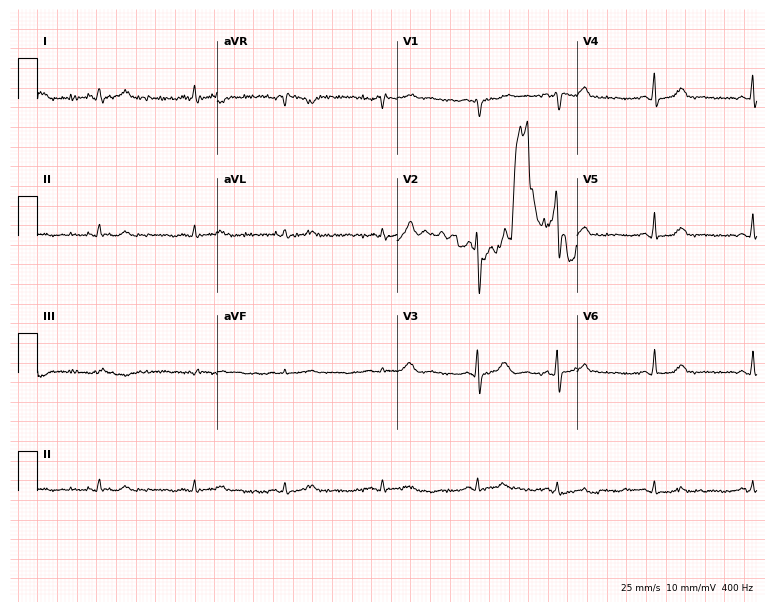
12-lead ECG from a 27-year-old female. Recorded interpretation: within normal limits.